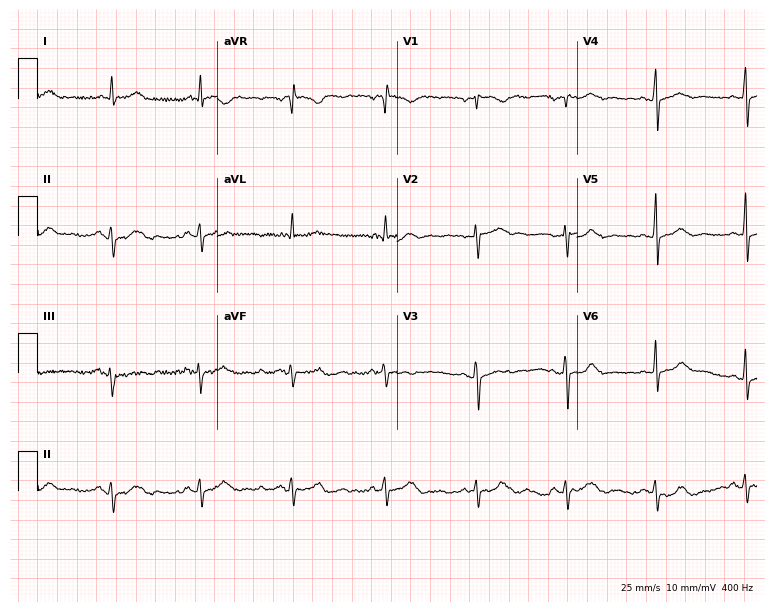
ECG (7.3-second recording at 400 Hz) — a 59-year-old female patient. Screened for six findings — first-degree AV block, right bundle branch block (RBBB), left bundle branch block (LBBB), sinus bradycardia, atrial fibrillation (AF), sinus tachycardia — none is recorded. Findings outside these six are not listed.